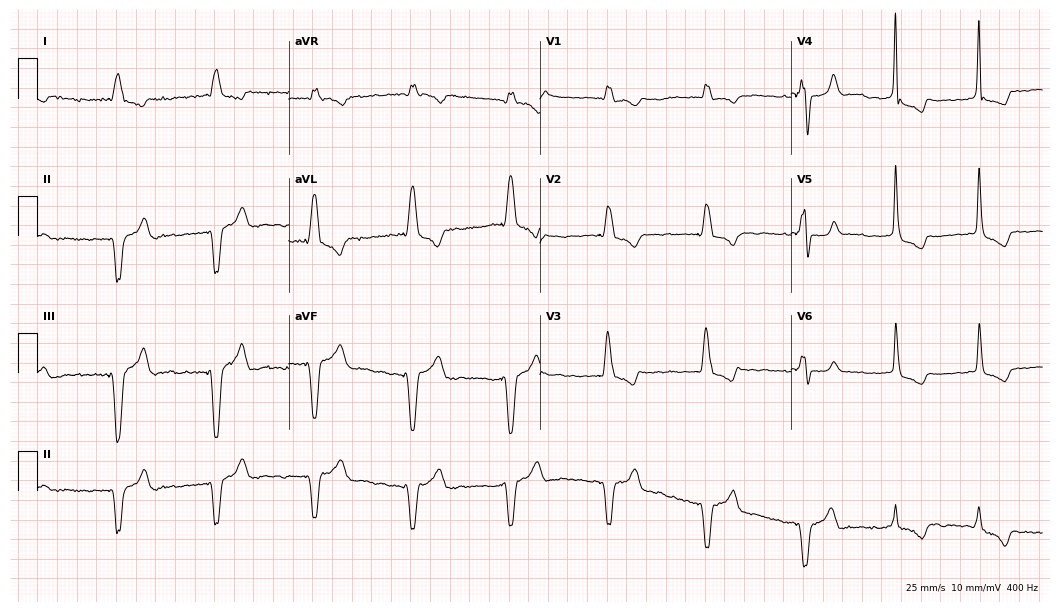
12-lead ECG (10.2-second recording at 400 Hz) from a 79-year-old male. Screened for six findings — first-degree AV block, right bundle branch block, left bundle branch block, sinus bradycardia, atrial fibrillation, sinus tachycardia — none is recorded. Findings outside these six are not listed.